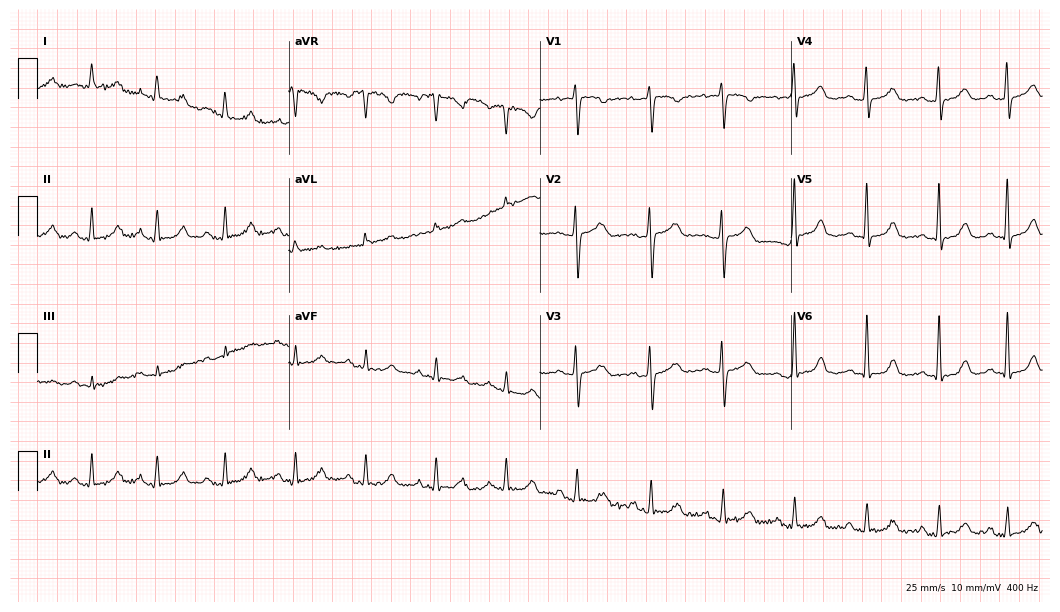
ECG — a female, 56 years old. Labelled as a normal ECG.